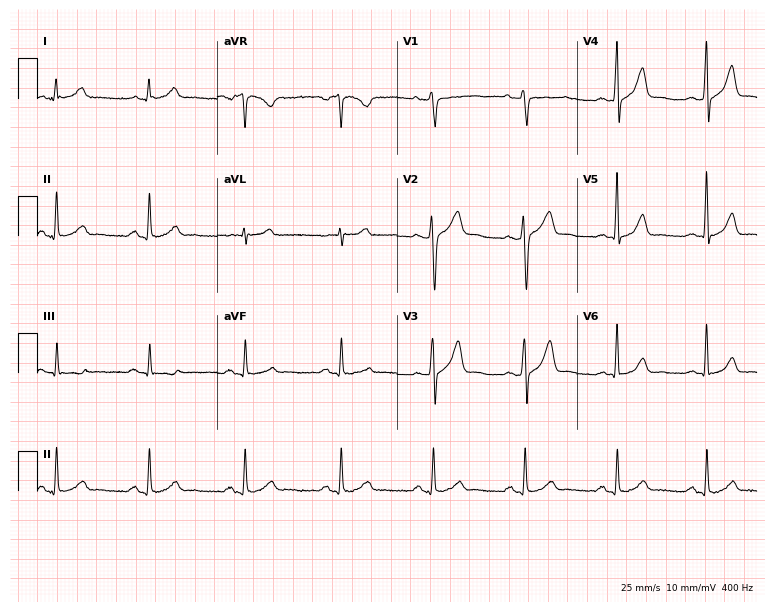
Electrocardiogram, a 39-year-old male patient. Overall reading on record: normal ECG.